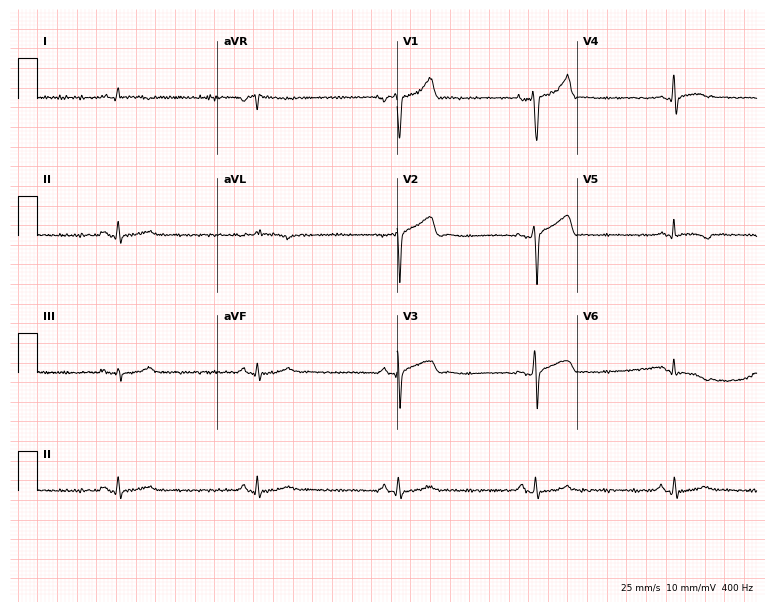
Electrocardiogram (7.3-second recording at 400 Hz), a man, 48 years old. Interpretation includes sinus bradycardia (a sinus rate of 50 beats per minute or less).